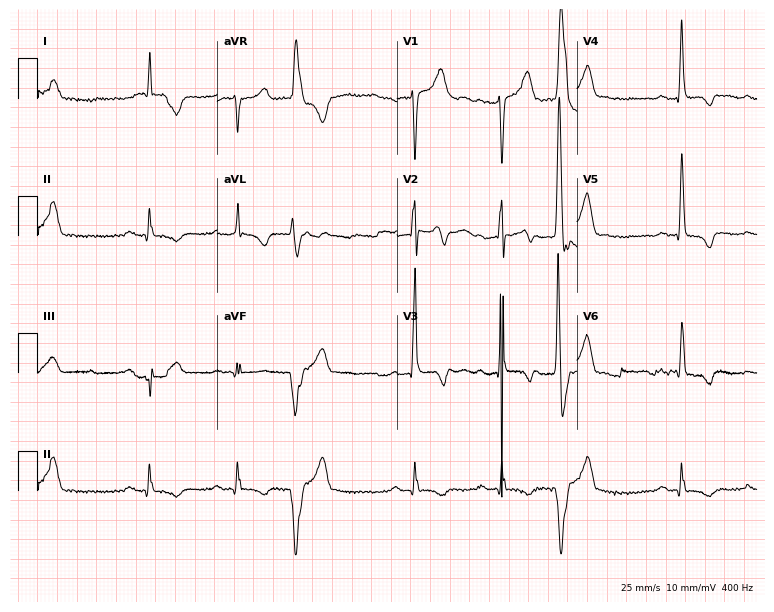
ECG (7.3-second recording at 400 Hz) — a male patient, 76 years old. Screened for six findings — first-degree AV block, right bundle branch block, left bundle branch block, sinus bradycardia, atrial fibrillation, sinus tachycardia — none is recorded. Other findings, if any, are not listed.